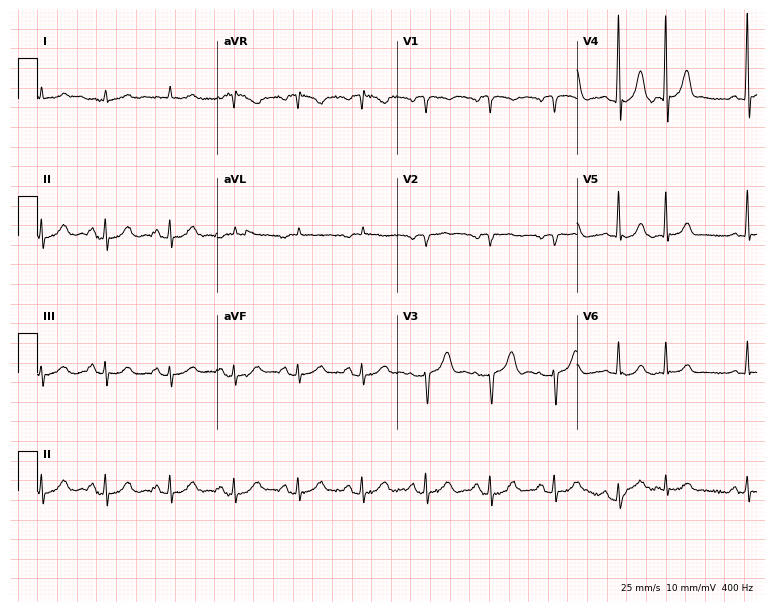
12-lead ECG from an 85-year-old male. No first-degree AV block, right bundle branch block, left bundle branch block, sinus bradycardia, atrial fibrillation or sinus tachycardia recorded for this tracing.